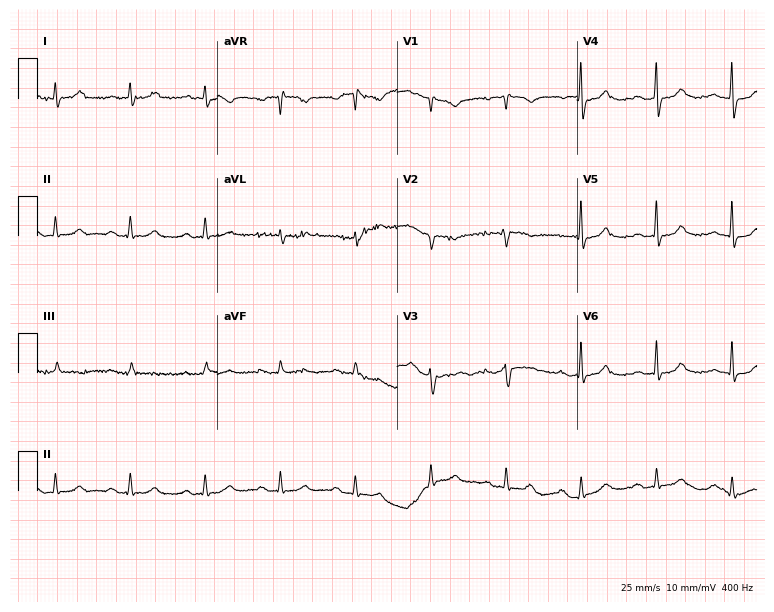
ECG (7.3-second recording at 400 Hz) — a 44-year-old female. Labelled as a normal ECG.